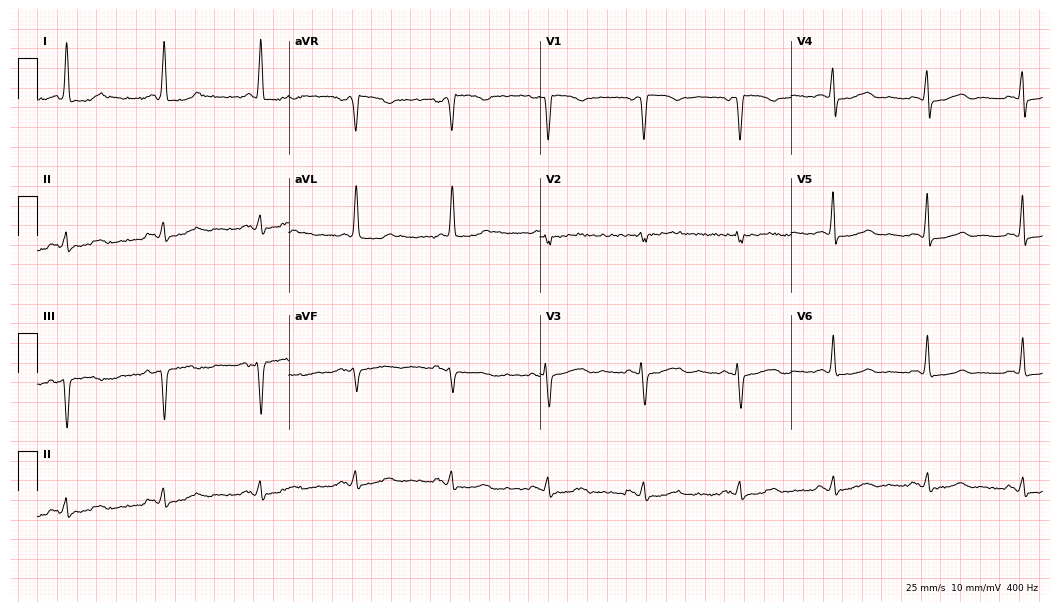
ECG (10.2-second recording at 400 Hz) — a female, 73 years old. Labelled as a normal ECG.